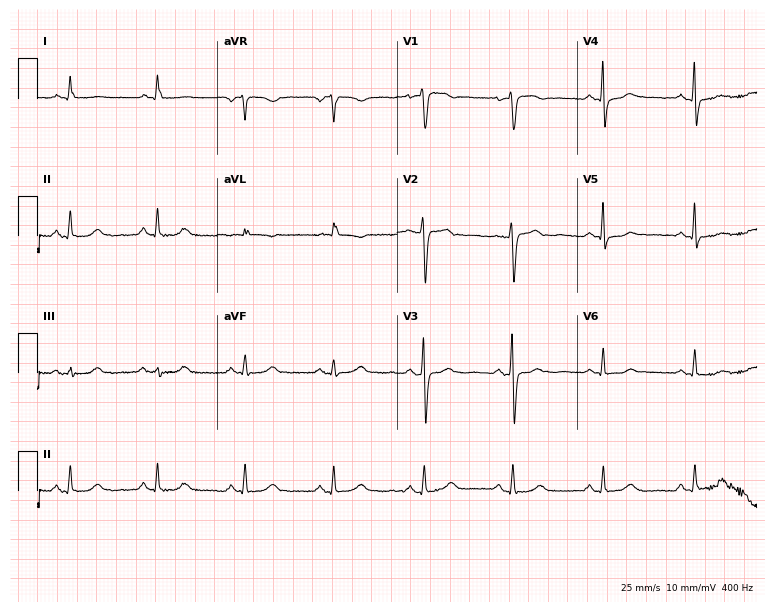
Resting 12-lead electrocardiogram (7.3-second recording at 400 Hz). Patient: a female, 61 years old. Read as a normal ECG.